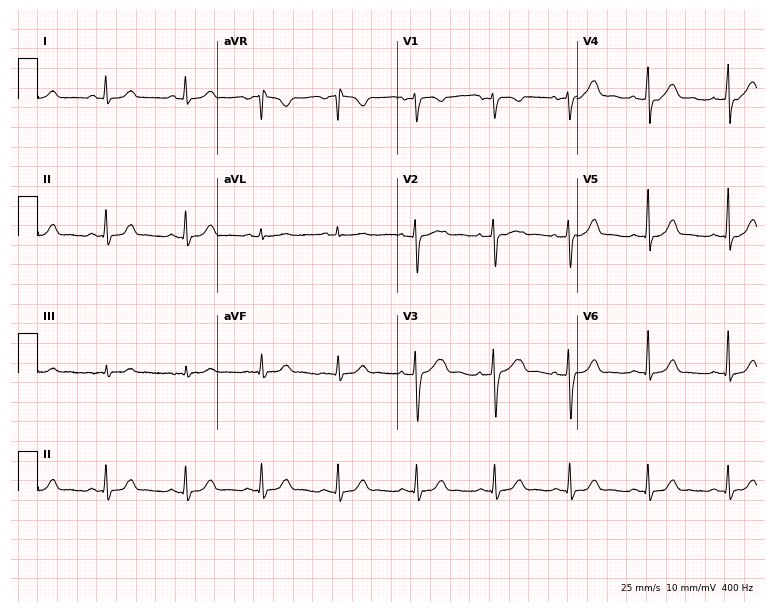
12-lead ECG (7.3-second recording at 400 Hz) from a woman, 28 years old. Labelled as a normal ECG.